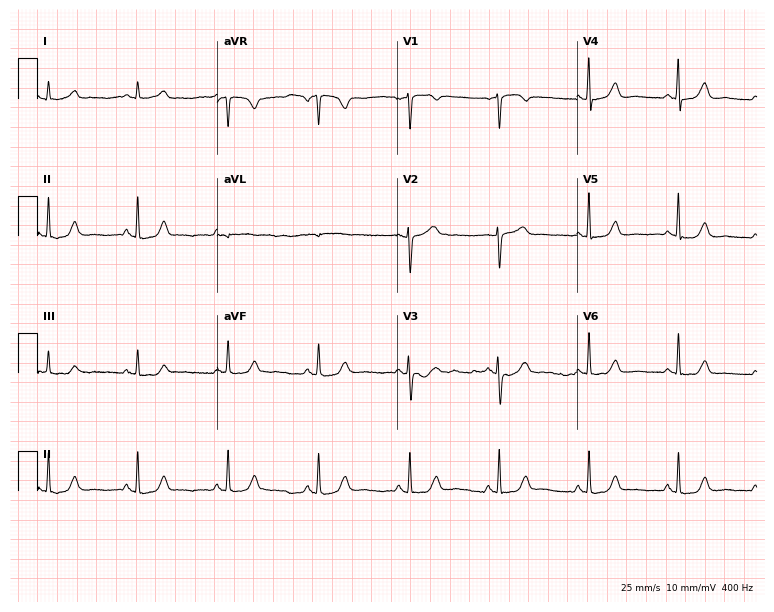
12-lead ECG from a woman, 46 years old. Labelled as a normal ECG.